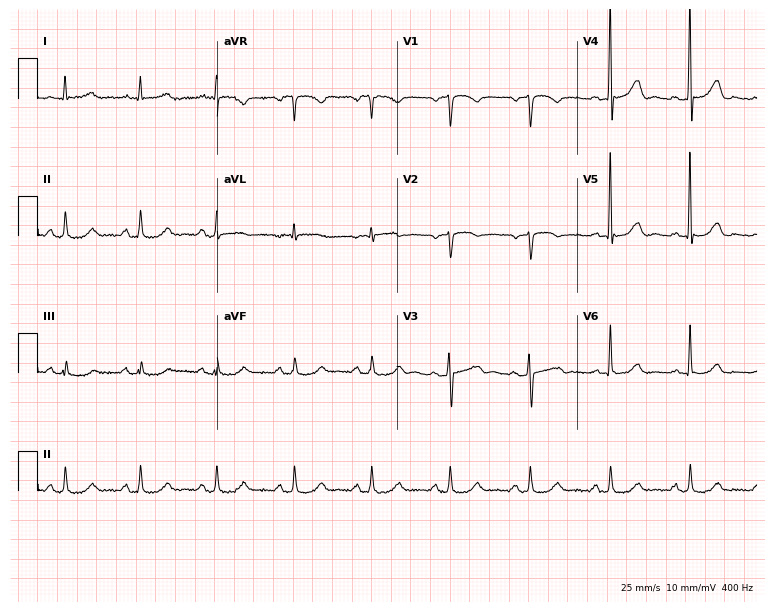
Resting 12-lead electrocardiogram (7.3-second recording at 400 Hz). Patient: a female, 51 years old. None of these six findings is recorded: first-degree AV block, right bundle branch block, left bundle branch block, sinus bradycardia, atrial fibrillation, sinus tachycardia. Findings outside these six are not listed.